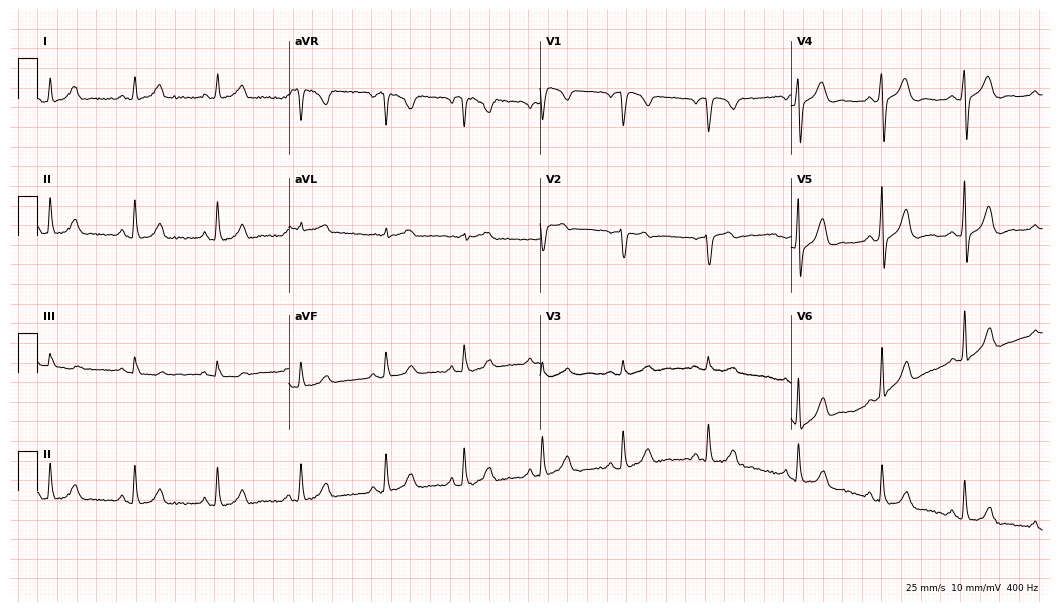
12-lead ECG from a 41-year-old female. Labelled as a normal ECG.